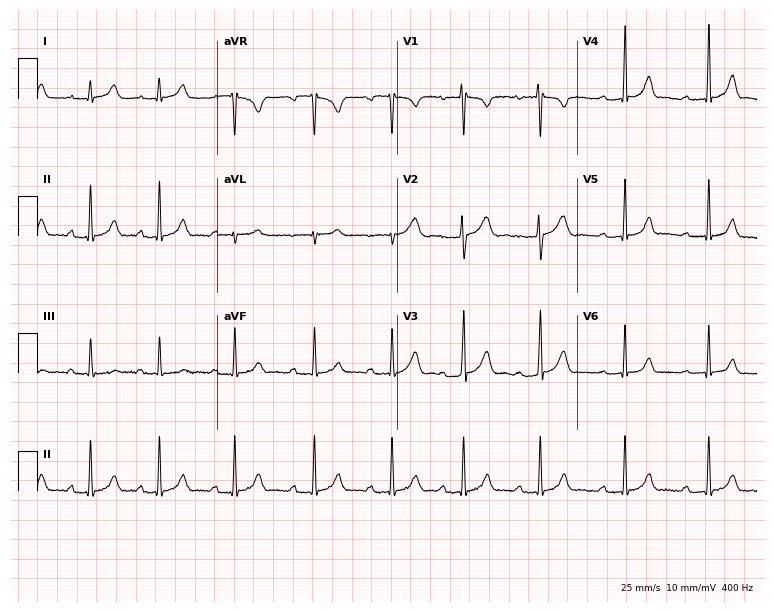
12-lead ECG (7.3-second recording at 400 Hz) from a 25-year-old woman. Screened for six findings — first-degree AV block, right bundle branch block (RBBB), left bundle branch block (LBBB), sinus bradycardia, atrial fibrillation (AF), sinus tachycardia — none is recorded. Other findings, if any, are not listed.